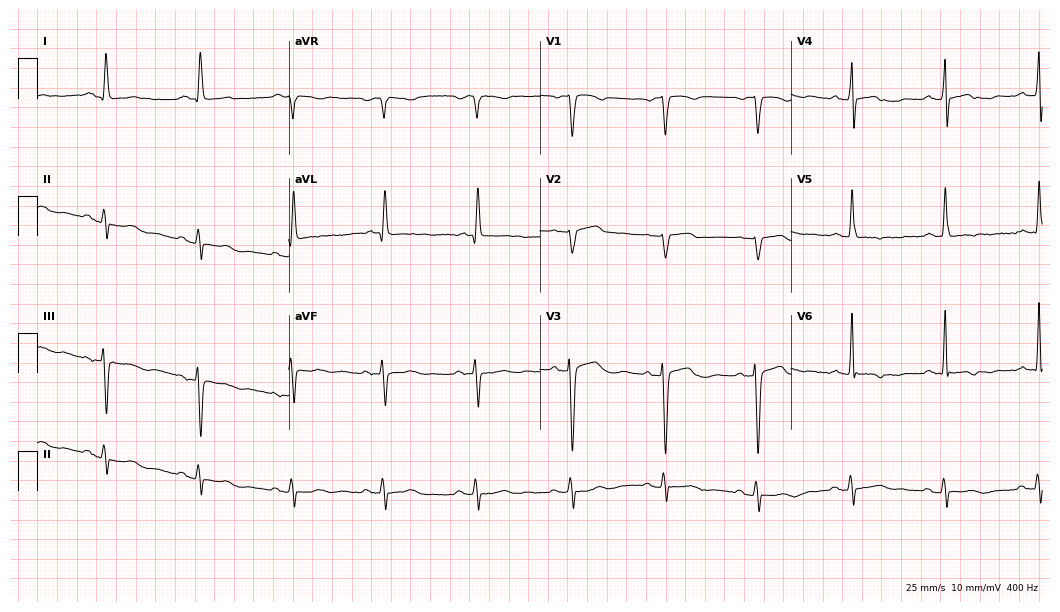
12-lead ECG from a female patient, 64 years old (10.2-second recording at 400 Hz). No first-degree AV block, right bundle branch block (RBBB), left bundle branch block (LBBB), sinus bradycardia, atrial fibrillation (AF) or sinus tachycardia recorded for this tracing.